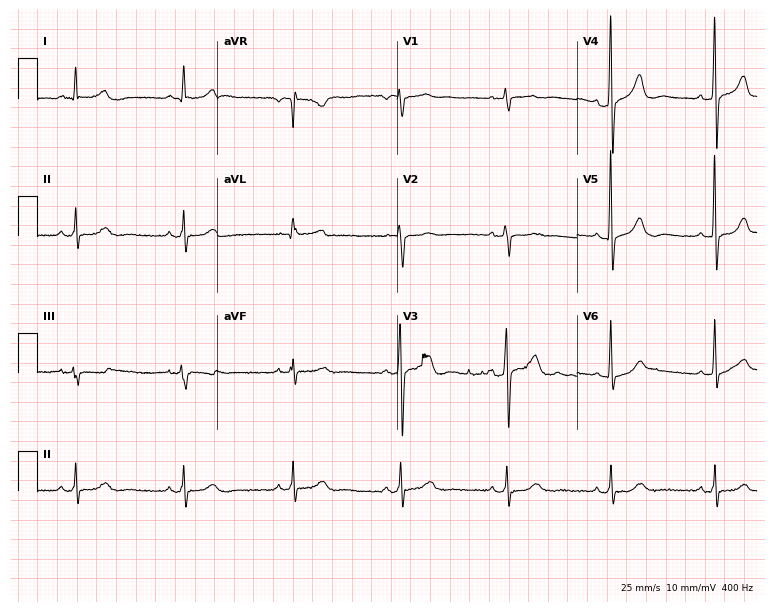
Electrocardiogram (7.3-second recording at 400 Hz), a 78-year-old male patient. Overall reading on record: normal ECG.